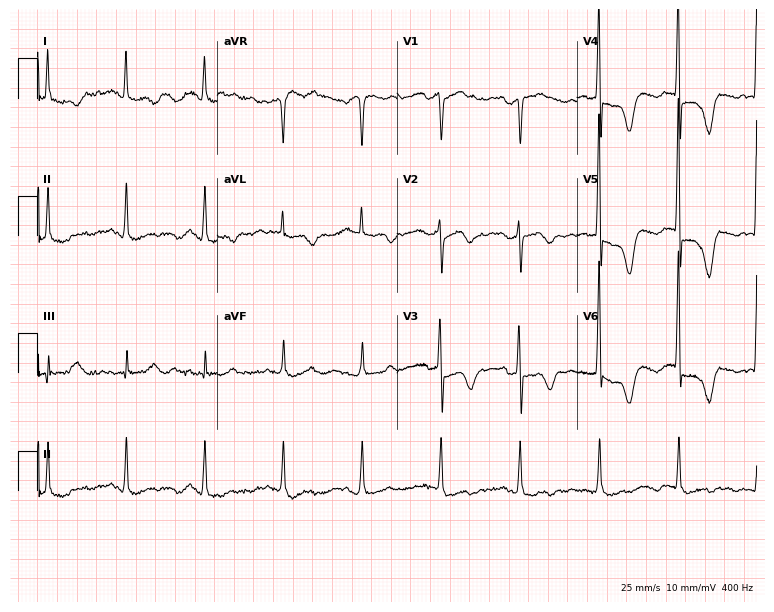
12-lead ECG from an 84-year-old female. Screened for six findings — first-degree AV block, right bundle branch block (RBBB), left bundle branch block (LBBB), sinus bradycardia, atrial fibrillation (AF), sinus tachycardia — none is recorded.